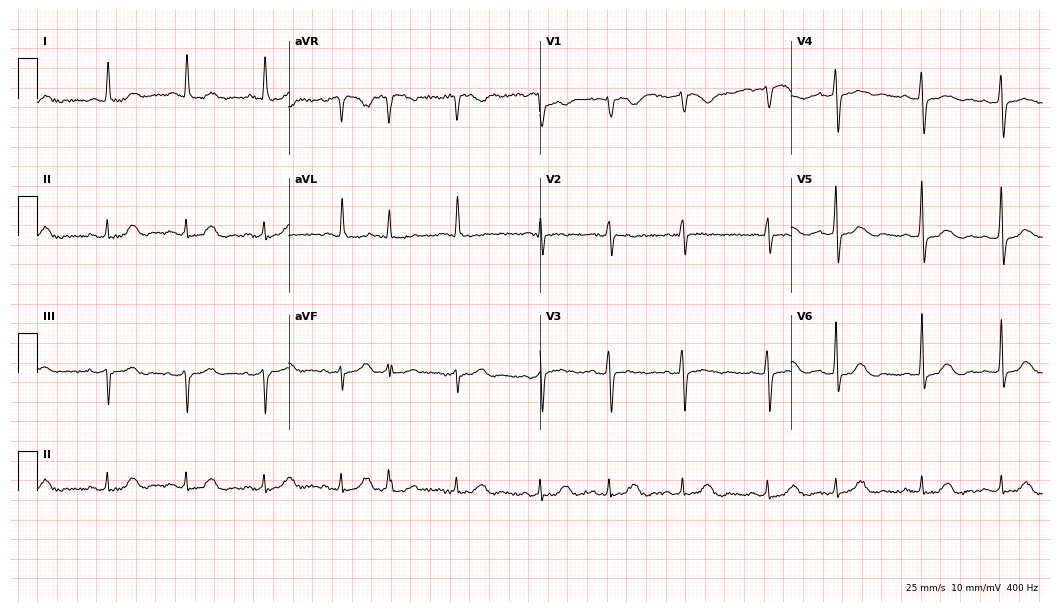
12-lead ECG from a 73-year-old man (10.2-second recording at 400 Hz). No first-degree AV block, right bundle branch block (RBBB), left bundle branch block (LBBB), sinus bradycardia, atrial fibrillation (AF) or sinus tachycardia recorded for this tracing. Findings outside these six are not listed.